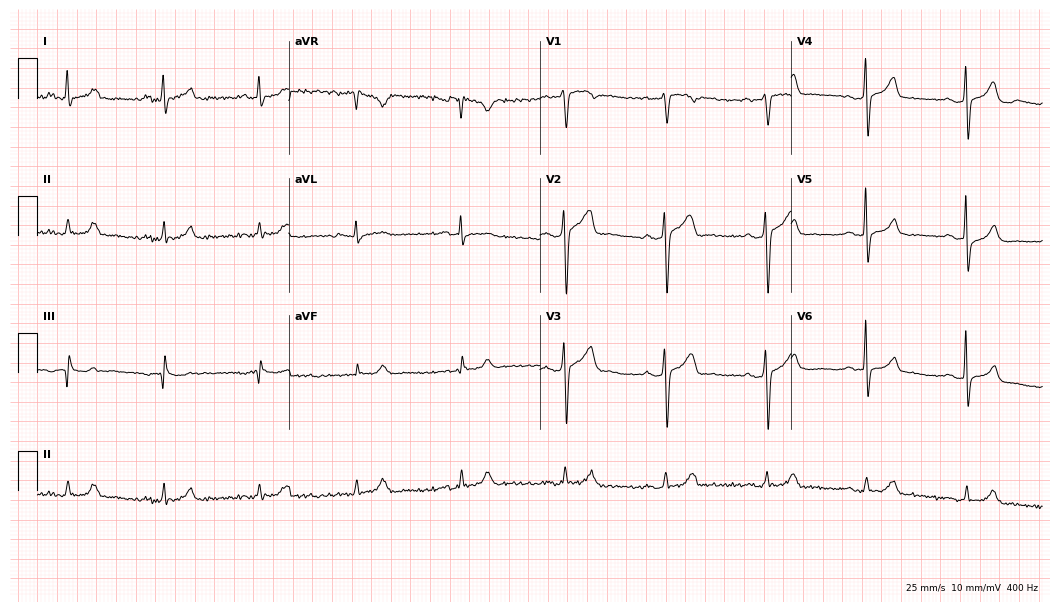
Resting 12-lead electrocardiogram. Patient: a male, 48 years old. Read as a normal ECG.